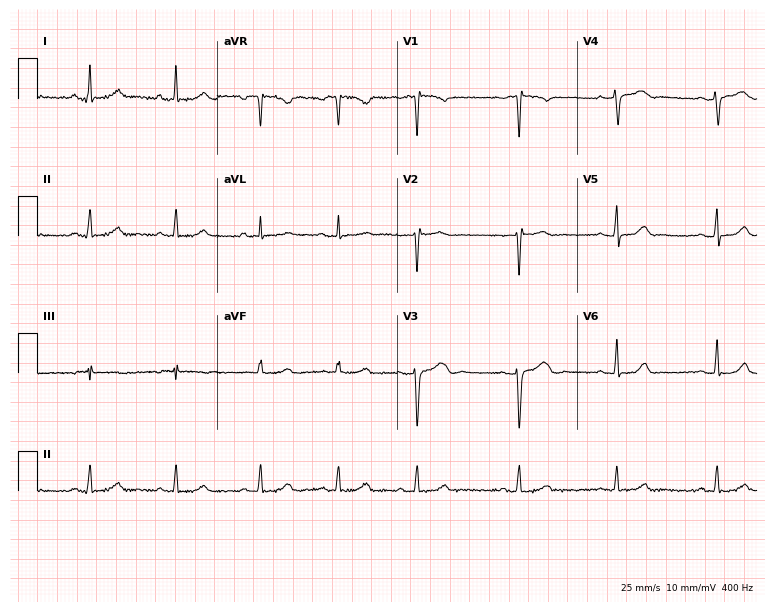
12-lead ECG (7.3-second recording at 400 Hz) from a 28-year-old female patient. Screened for six findings — first-degree AV block, right bundle branch block, left bundle branch block, sinus bradycardia, atrial fibrillation, sinus tachycardia — none is recorded.